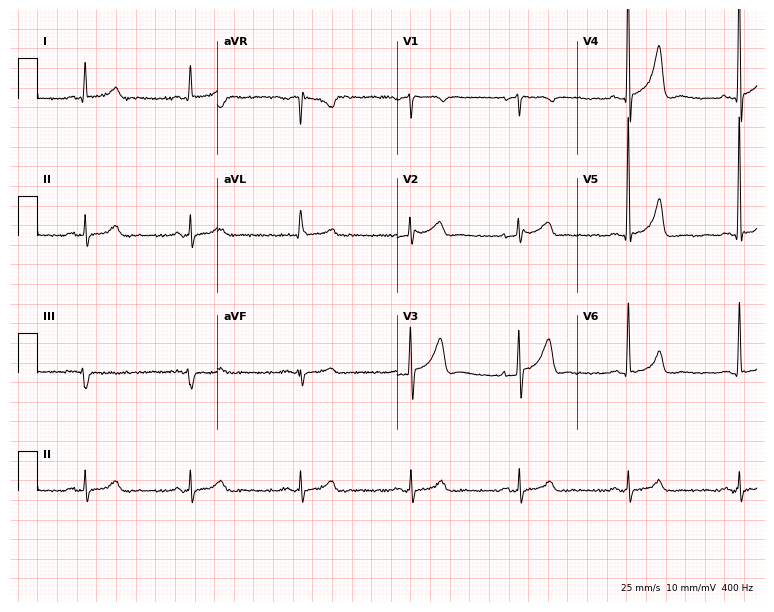
ECG (7.3-second recording at 400 Hz) — a male, 63 years old. Screened for six findings — first-degree AV block, right bundle branch block, left bundle branch block, sinus bradycardia, atrial fibrillation, sinus tachycardia — none is recorded. Findings outside these six are not listed.